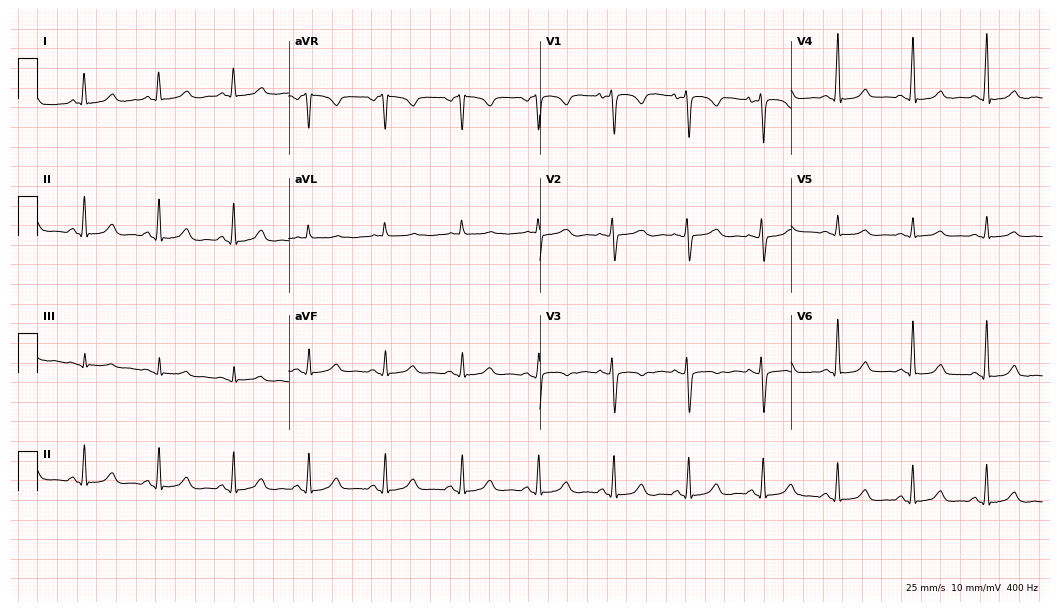
12-lead ECG from a female, 73 years old. No first-degree AV block, right bundle branch block (RBBB), left bundle branch block (LBBB), sinus bradycardia, atrial fibrillation (AF) or sinus tachycardia recorded for this tracing.